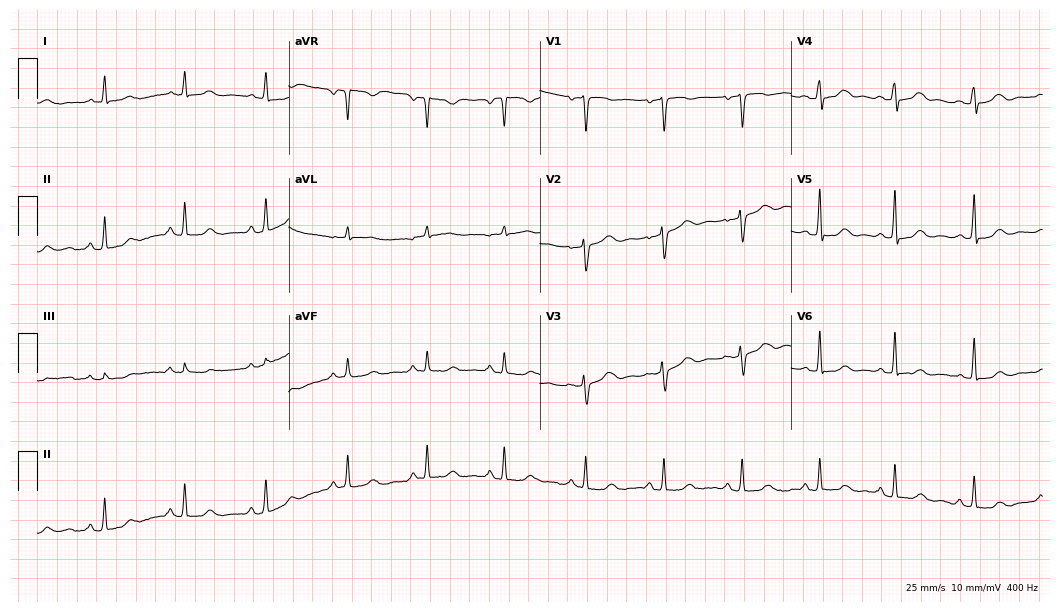
Resting 12-lead electrocardiogram (10.2-second recording at 400 Hz). Patient: a 51-year-old female. Read as a normal ECG.